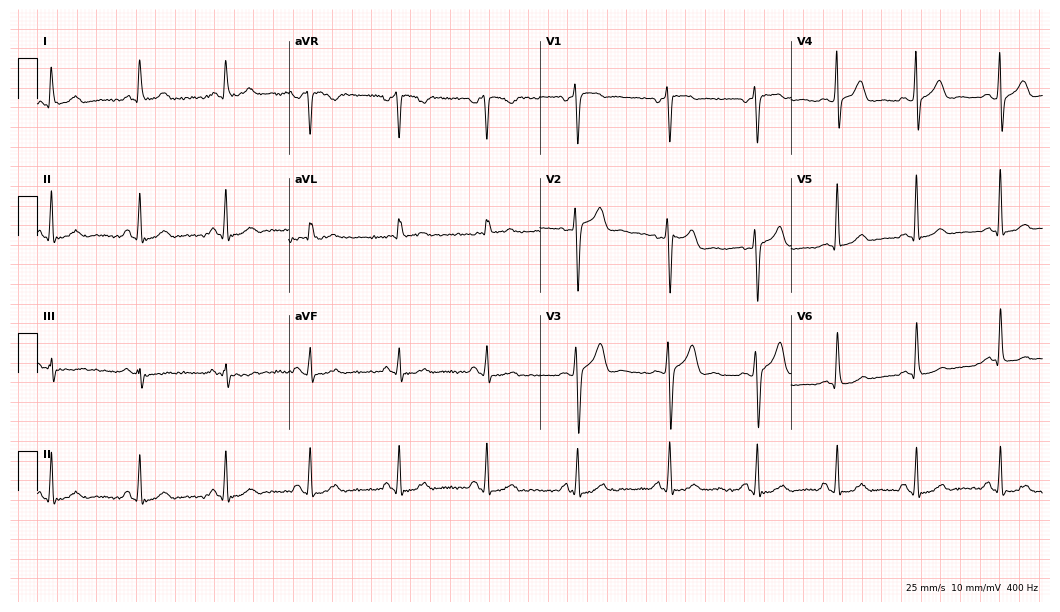
Electrocardiogram, a 32-year-old male. Of the six screened findings (first-degree AV block, right bundle branch block (RBBB), left bundle branch block (LBBB), sinus bradycardia, atrial fibrillation (AF), sinus tachycardia), none is recorded.